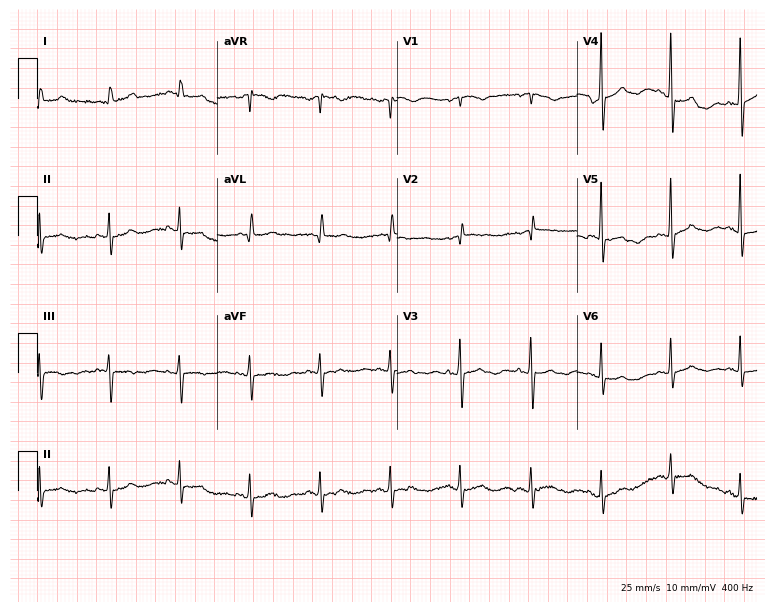
12-lead ECG (7.3-second recording at 400 Hz) from a female, 72 years old. Screened for six findings — first-degree AV block, right bundle branch block (RBBB), left bundle branch block (LBBB), sinus bradycardia, atrial fibrillation (AF), sinus tachycardia — none is recorded.